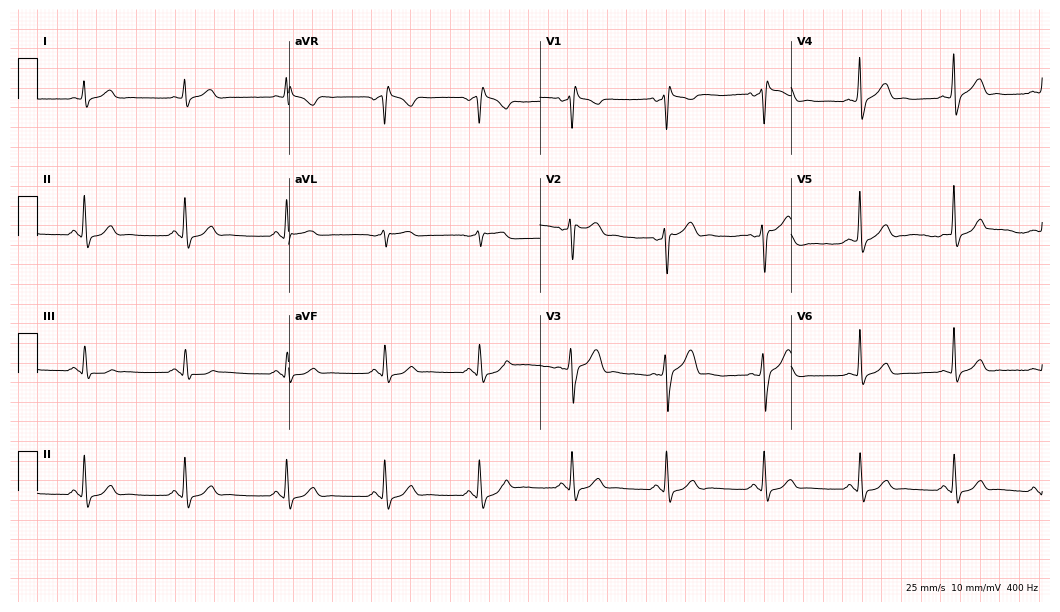
Resting 12-lead electrocardiogram. Patient: a 30-year-old man. None of these six findings is recorded: first-degree AV block, right bundle branch block, left bundle branch block, sinus bradycardia, atrial fibrillation, sinus tachycardia.